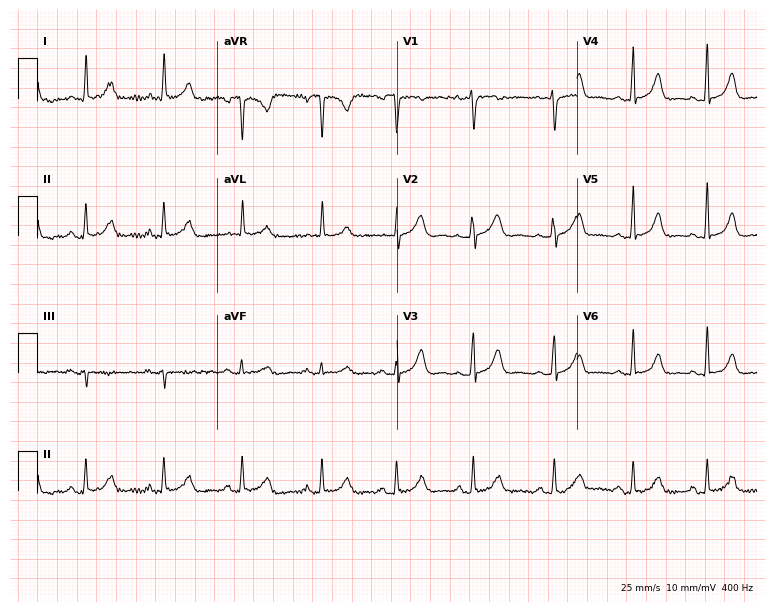
Resting 12-lead electrocardiogram (7.3-second recording at 400 Hz). Patient: a 37-year-old woman. Read as a normal ECG.